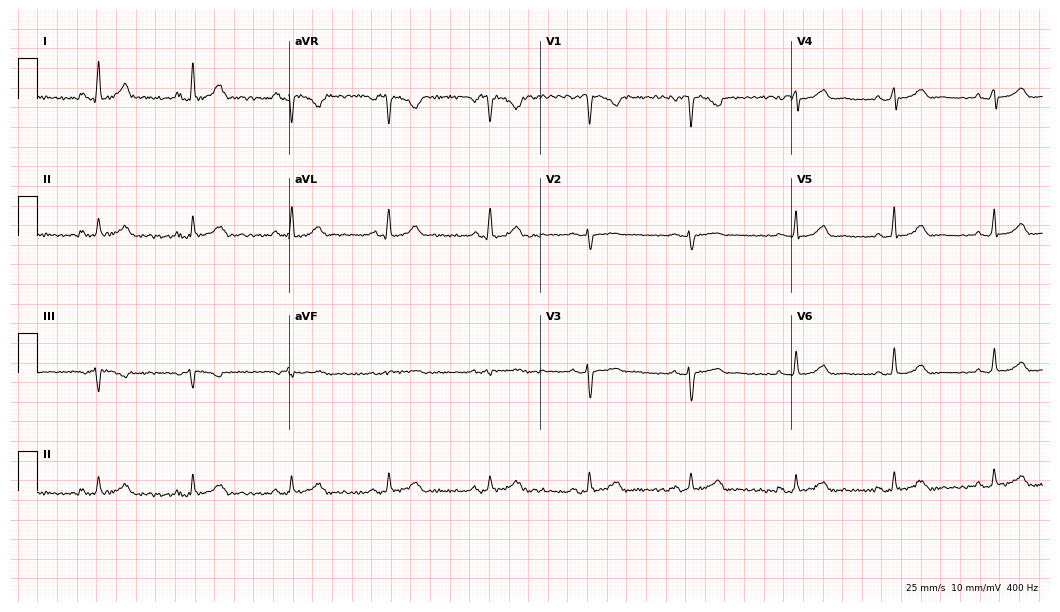
Standard 12-lead ECG recorded from a female, 37 years old (10.2-second recording at 400 Hz). Read as a normal ECG.